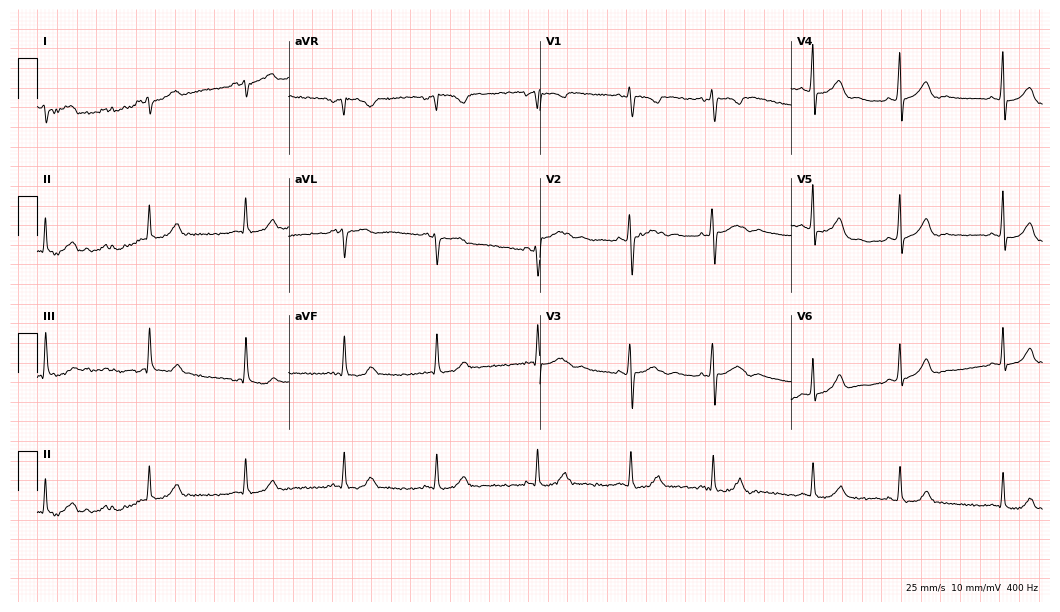
Standard 12-lead ECG recorded from a 20-year-old female patient. None of these six findings is recorded: first-degree AV block, right bundle branch block, left bundle branch block, sinus bradycardia, atrial fibrillation, sinus tachycardia.